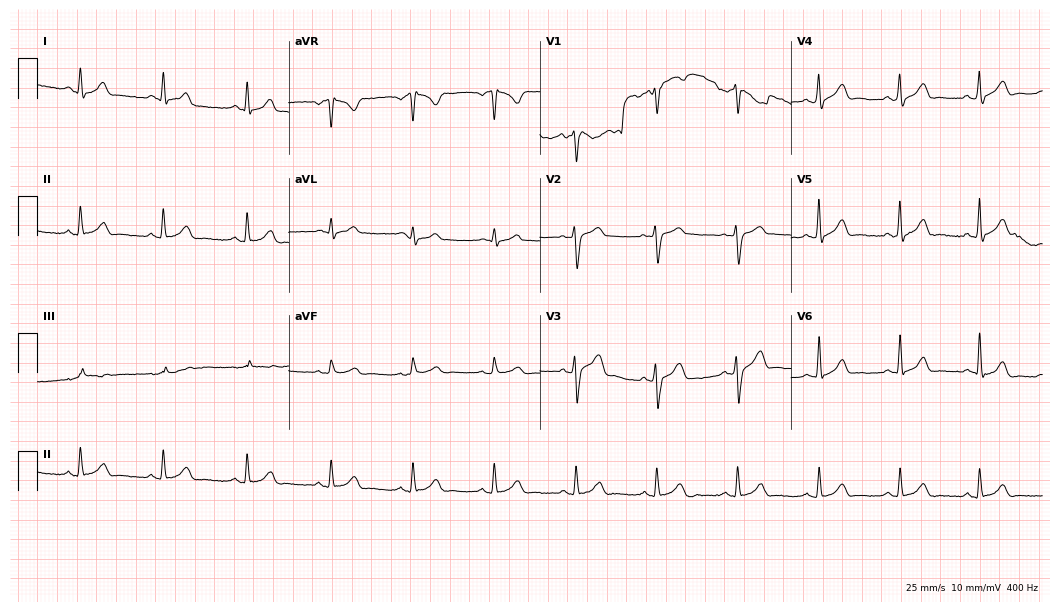
Resting 12-lead electrocardiogram (10.2-second recording at 400 Hz). Patient: a man, 47 years old. Read as a normal ECG.